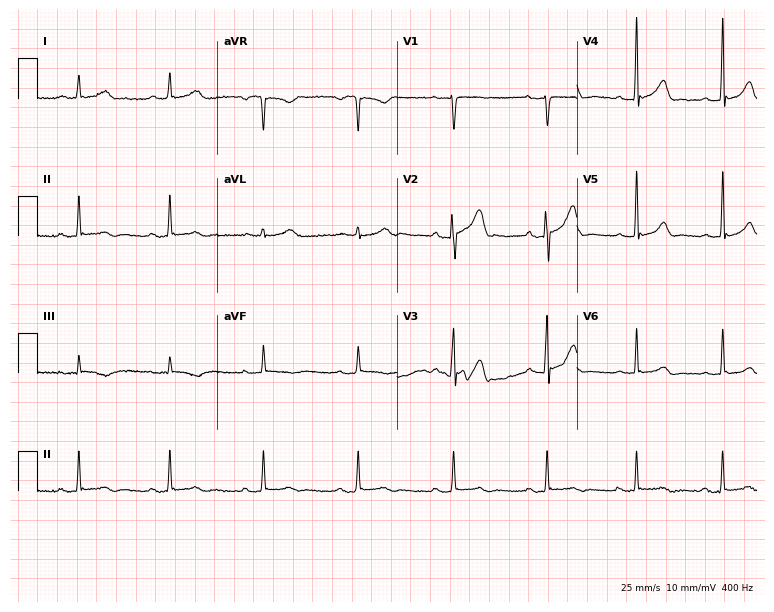
Standard 12-lead ECG recorded from a man, 43 years old (7.3-second recording at 400 Hz). None of these six findings is recorded: first-degree AV block, right bundle branch block, left bundle branch block, sinus bradycardia, atrial fibrillation, sinus tachycardia. Only these six findings were labelled.